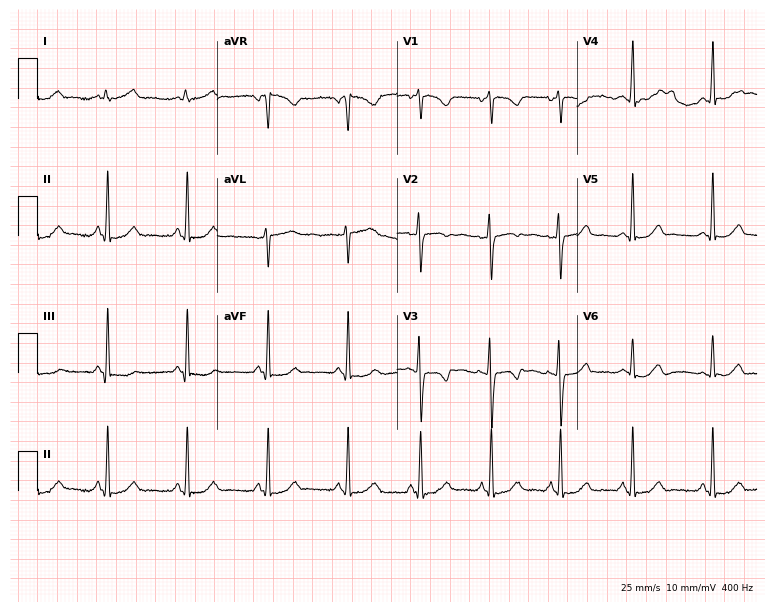
ECG — a 27-year-old female patient. Labelled as a normal ECG.